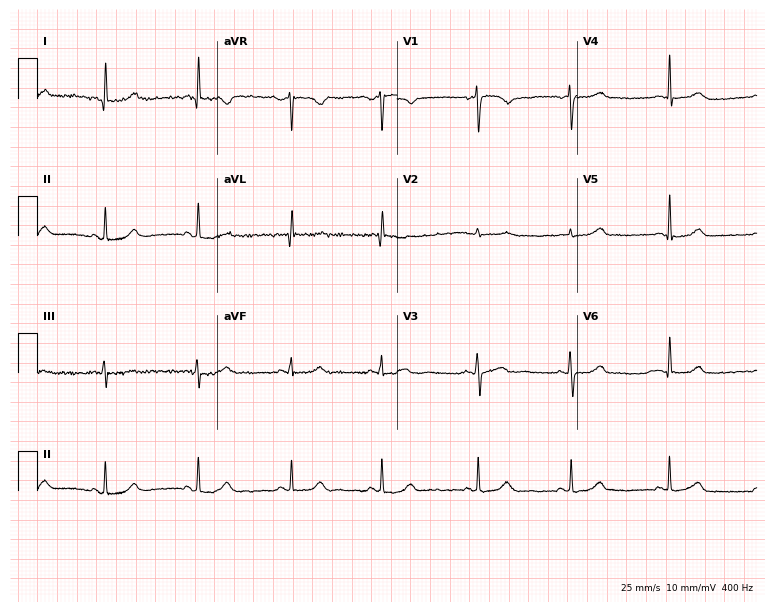
12-lead ECG (7.3-second recording at 400 Hz) from a female patient, 33 years old. Labelled as a normal ECG.